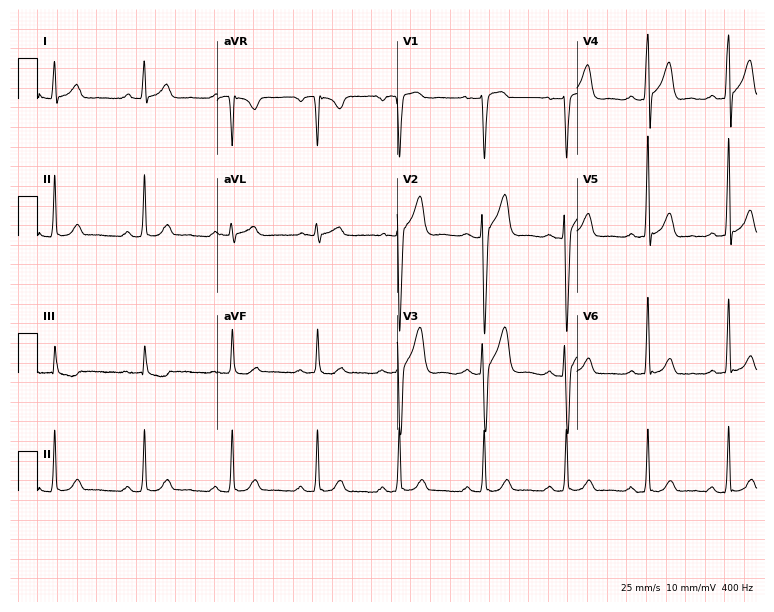
Resting 12-lead electrocardiogram. Patient: a male, 26 years old. None of these six findings is recorded: first-degree AV block, right bundle branch block, left bundle branch block, sinus bradycardia, atrial fibrillation, sinus tachycardia.